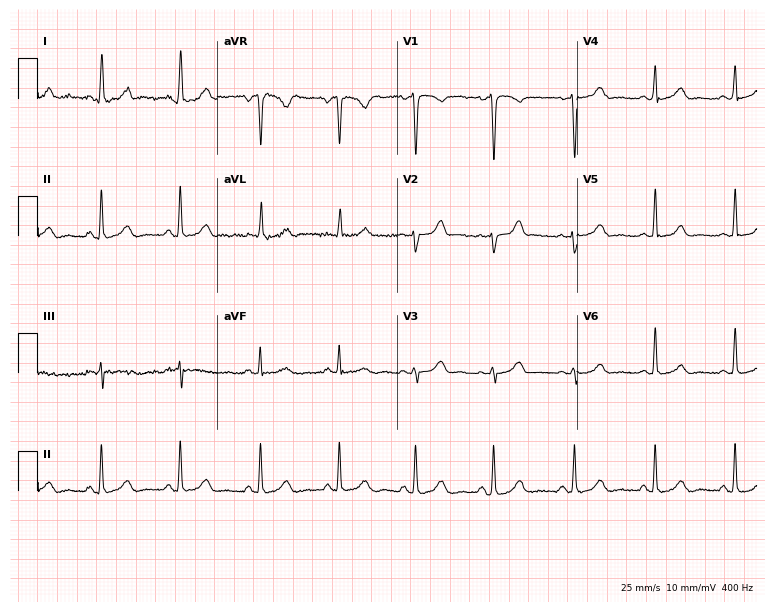
ECG — a 46-year-old woman. Labelled as a normal ECG.